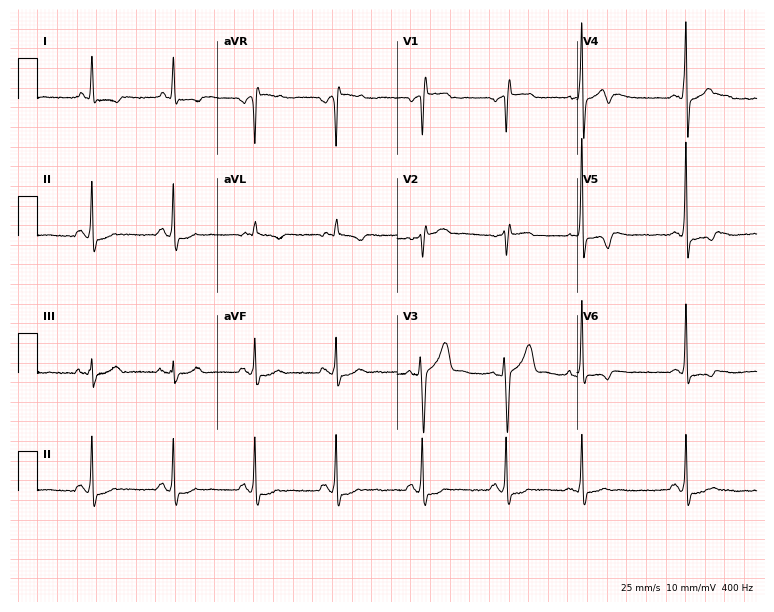
12-lead ECG from a male patient, 54 years old (7.3-second recording at 400 Hz). No first-degree AV block, right bundle branch block (RBBB), left bundle branch block (LBBB), sinus bradycardia, atrial fibrillation (AF) or sinus tachycardia recorded for this tracing.